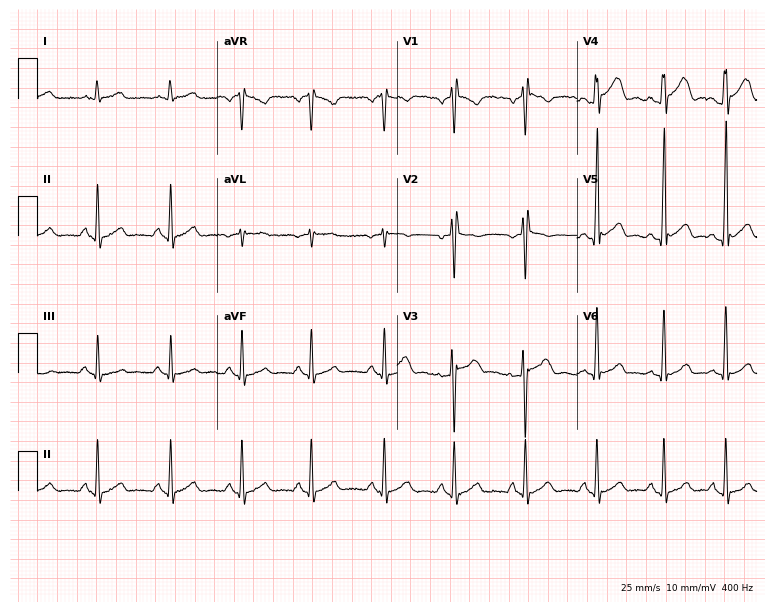
12-lead ECG (7.3-second recording at 400 Hz) from a man, 24 years old. Screened for six findings — first-degree AV block, right bundle branch block, left bundle branch block, sinus bradycardia, atrial fibrillation, sinus tachycardia — none is recorded. Findings outside these six are not listed.